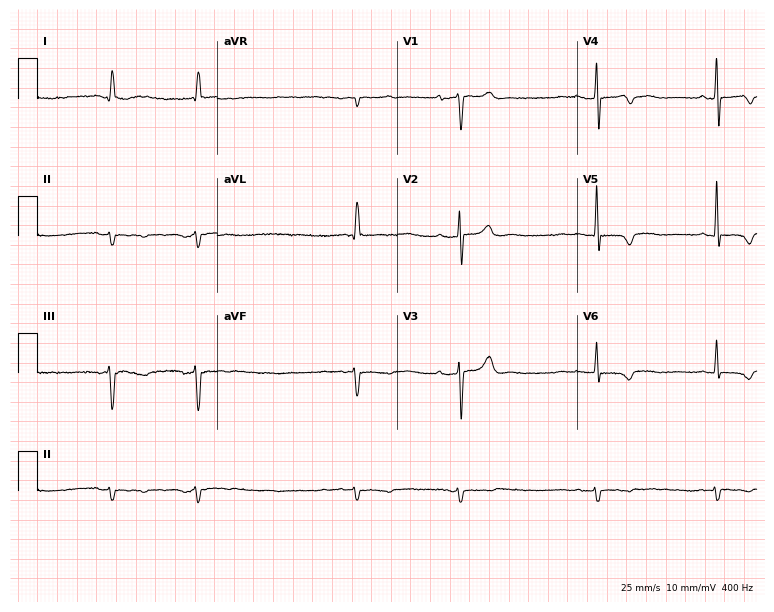
ECG (7.3-second recording at 400 Hz) — a male patient, 81 years old. Screened for six findings — first-degree AV block, right bundle branch block, left bundle branch block, sinus bradycardia, atrial fibrillation, sinus tachycardia — none is recorded. Other findings, if any, are not listed.